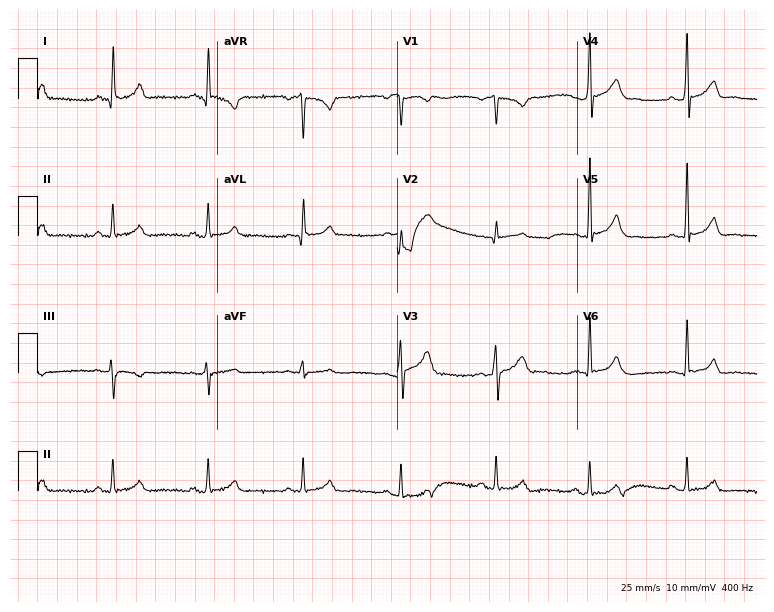
12-lead ECG from a male patient, 46 years old (7.3-second recording at 400 Hz). No first-degree AV block, right bundle branch block, left bundle branch block, sinus bradycardia, atrial fibrillation or sinus tachycardia recorded for this tracing.